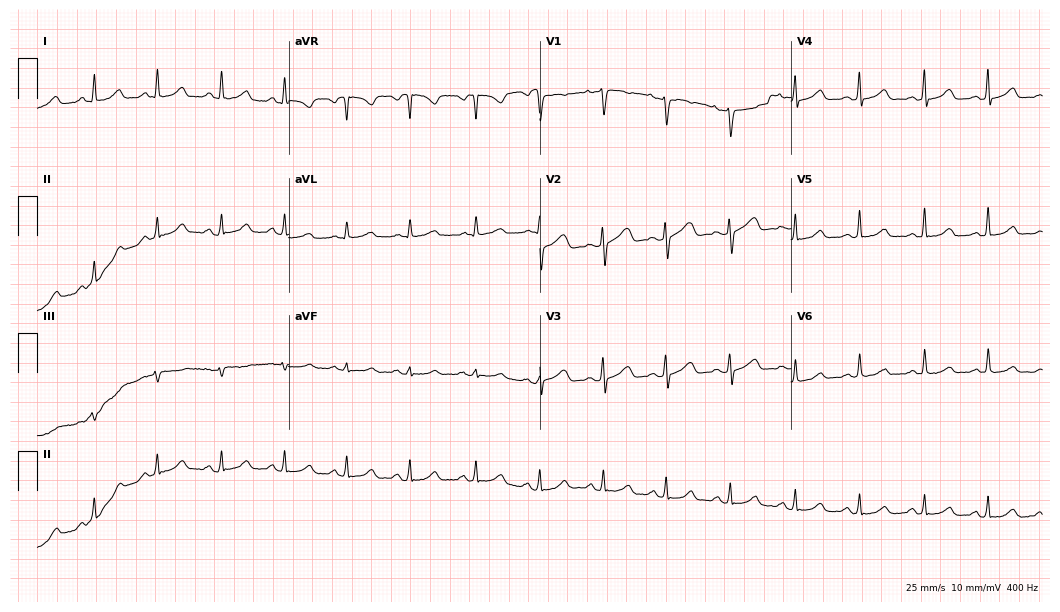
Standard 12-lead ECG recorded from a female, 36 years old (10.2-second recording at 400 Hz). Read as a normal ECG.